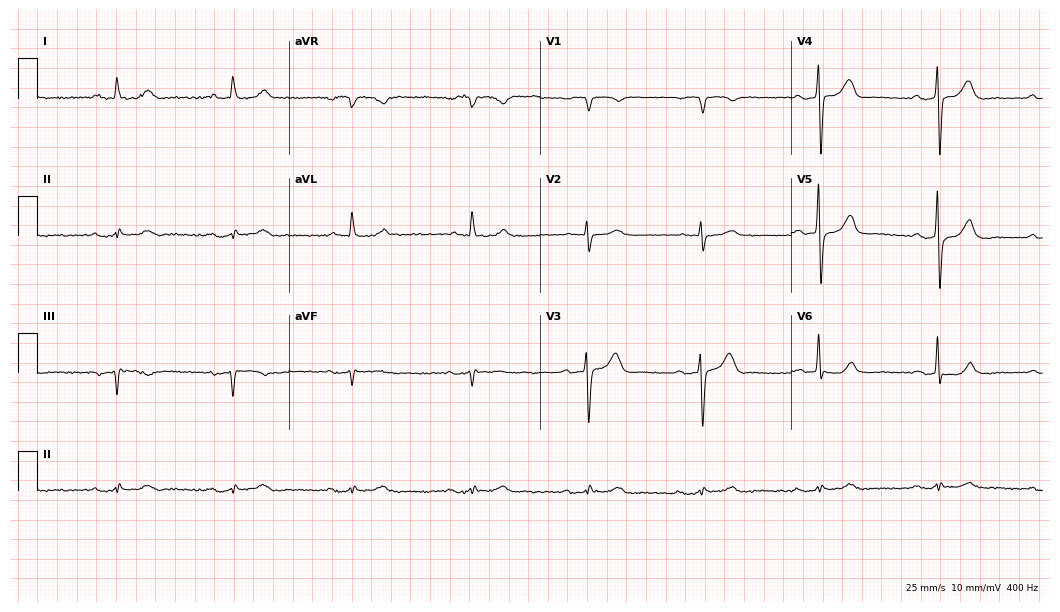
12-lead ECG (10.2-second recording at 400 Hz) from a 78-year-old man. Labelled as a normal ECG.